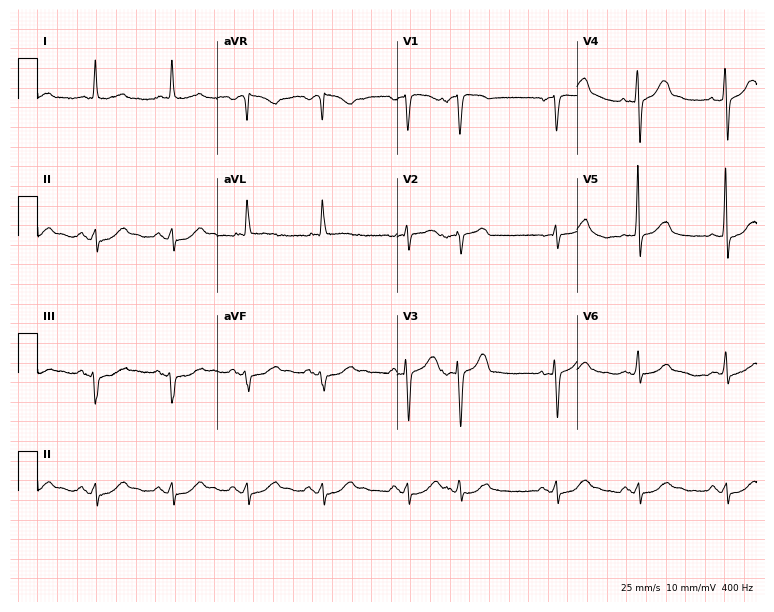
Standard 12-lead ECG recorded from a male, 67 years old. None of these six findings is recorded: first-degree AV block, right bundle branch block, left bundle branch block, sinus bradycardia, atrial fibrillation, sinus tachycardia.